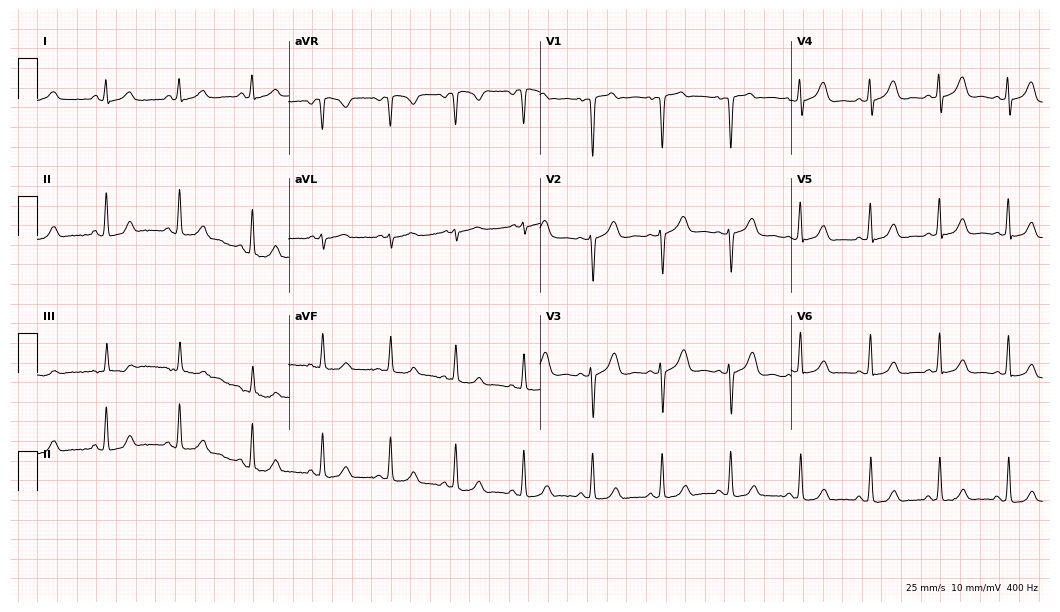
Resting 12-lead electrocardiogram. Patient: a man, 32 years old. Read as a normal ECG.